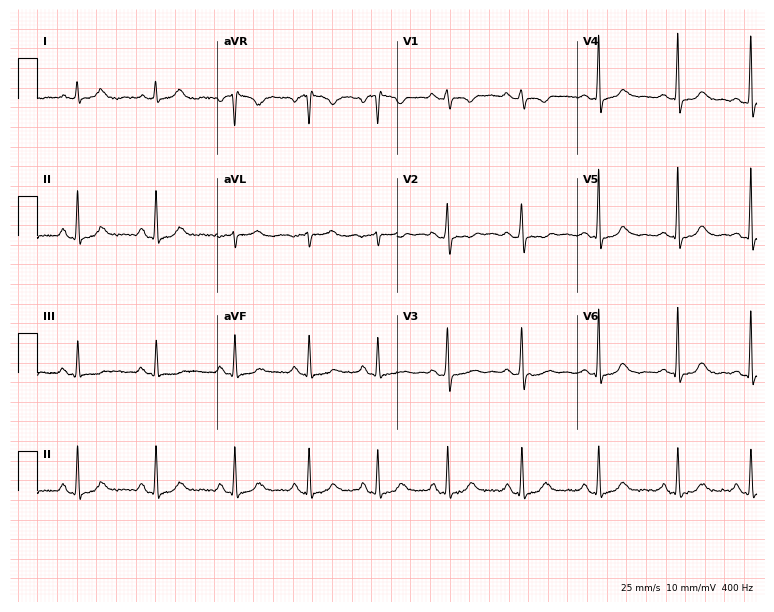
12-lead ECG from a 37-year-old woman (7.3-second recording at 400 Hz). Recorded interpretation: within normal limits.